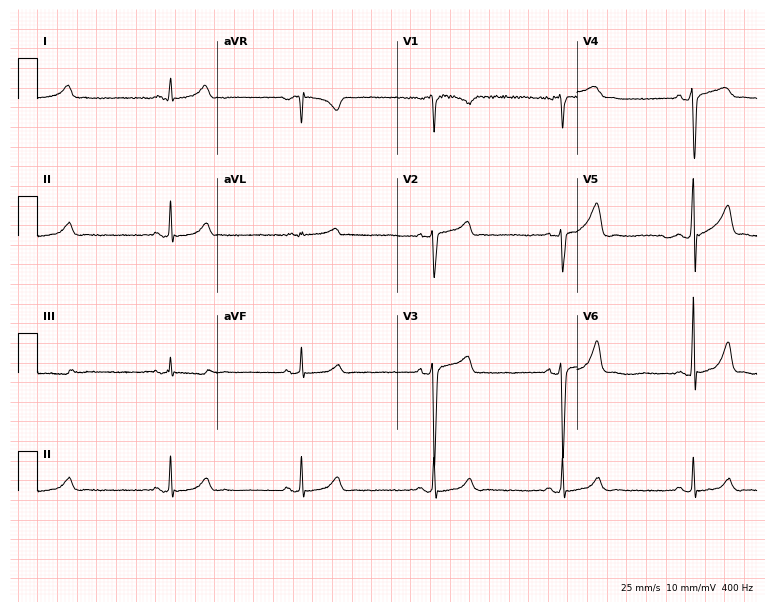
Electrocardiogram, a man, 38 years old. Interpretation includes sinus bradycardia (a sinus rate of 50 beats per minute or less).